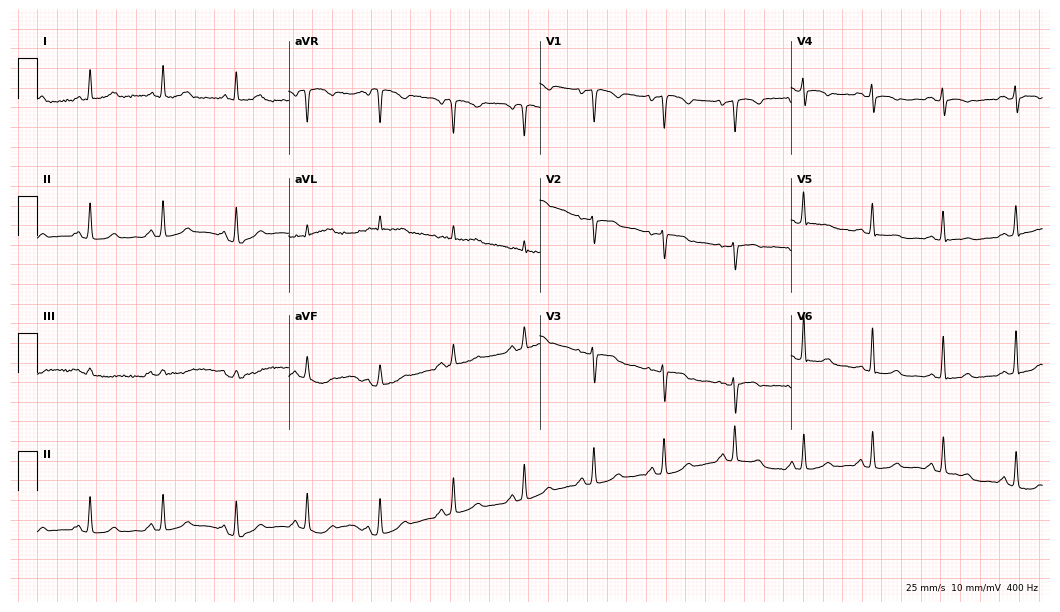
Electrocardiogram, a 57-year-old female. Of the six screened findings (first-degree AV block, right bundle branch block (RBBB), left bundle branch block (LBBB), sinus bradycardia, atrial fibrillation (AF), sinus tachycardia), none is recorded.